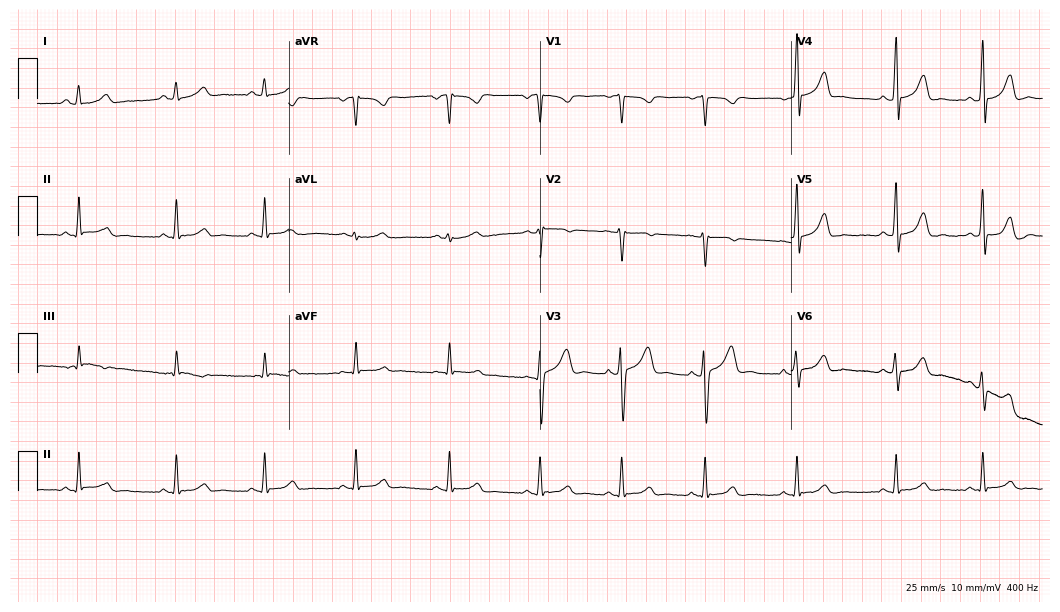
ECG — a man, 22 years old. Screened for six findings — first-degree AV block, right bundle branch block, left bundle branch block, sinus bradycardia, atrial fibrillation, sinus tachycardia — none is recorded.